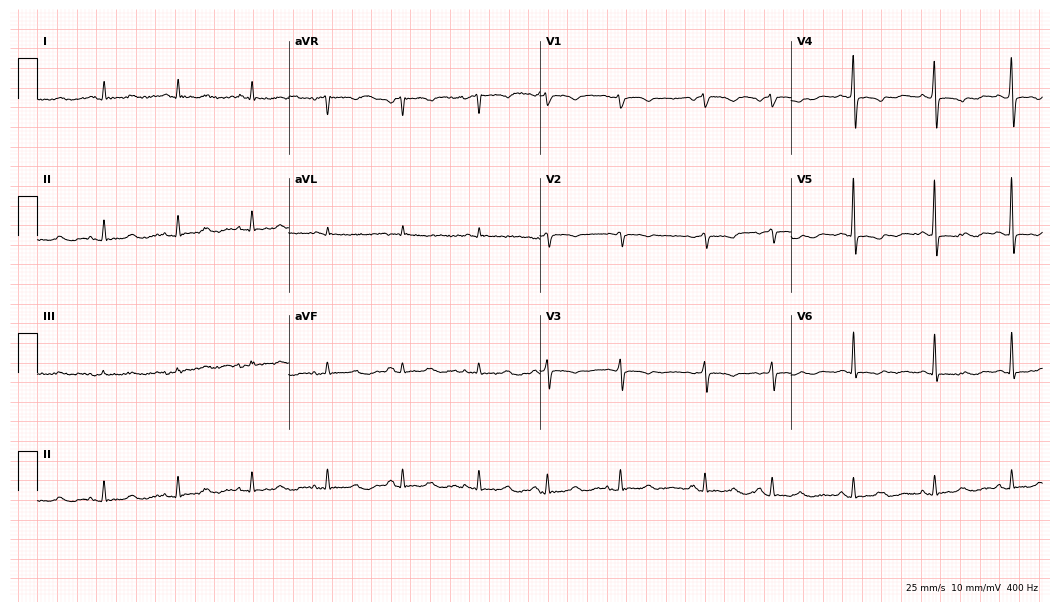
12-lead ECG from a female, 82 years old. Screened for six findings — first-degree AV block, right bundle branch block, left bundle branch block, sinus bradycardia, atrial fibrillation, sinus tachycardia — none is recorded.